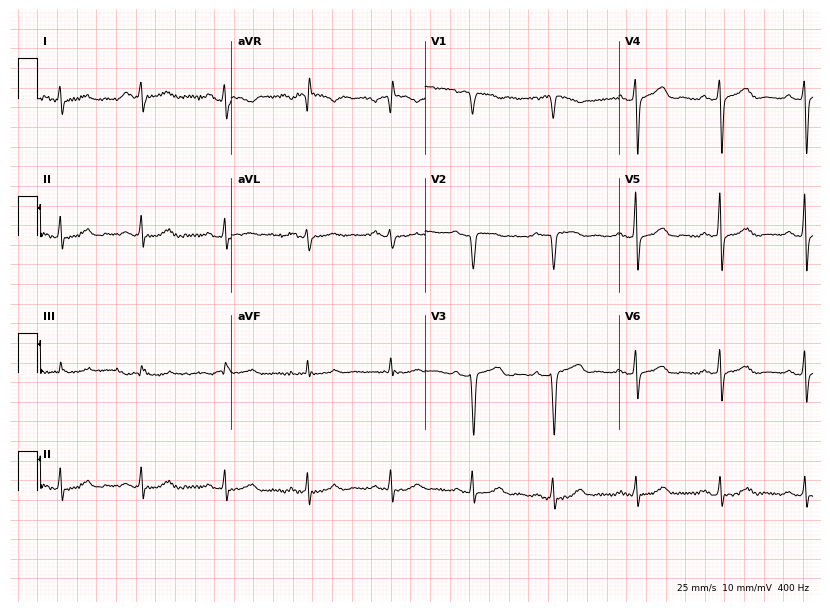
Resting 12-lead electrocardiogram (7.9-second recording at 400 Hz). Patient: a female, 41 years old. None of these six findings is recorded: first-degree AV block, right bundle branch block, left bundle branch block, sinus bradycardia, atrial fibrillation, sinus tachycardia. Other findings, if any, are not listed.